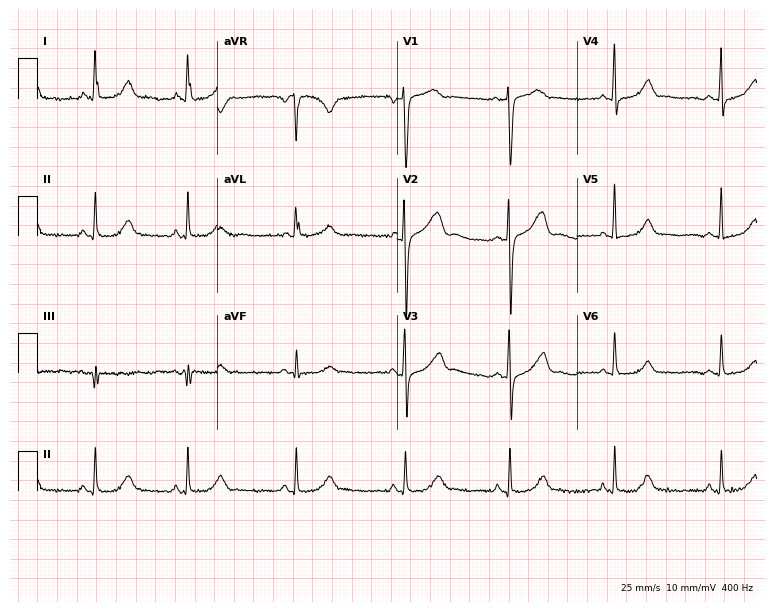
Standard 12-lead ECG recorded from a woman, 57 years old. Read as a normal ECG.